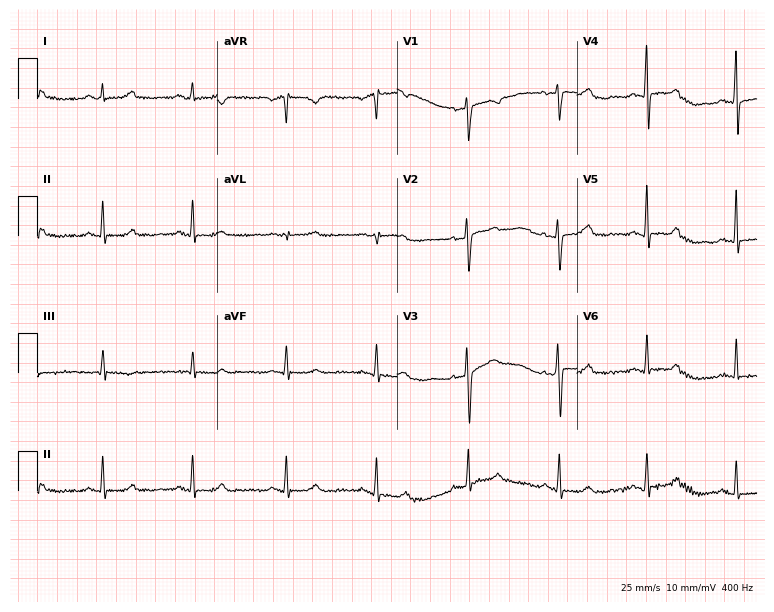
12-lead ECG from a 57-year-old woman. Screened for six findings — first-degree AV block, right bundle branch block (RBBB), left bundle branch block (LBBB), sinus bradycardia, atrial fibrillation (AF), sinus tachycardia — none is recorded.